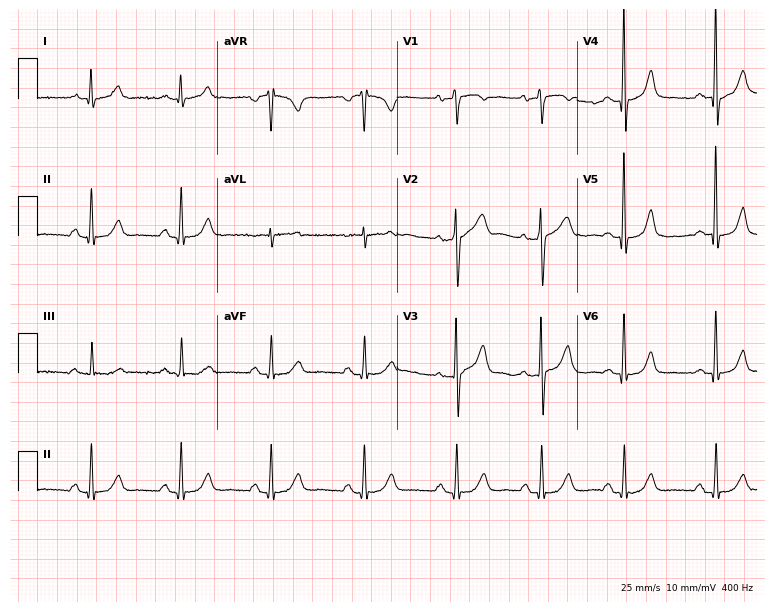
ECG (7.3-second recording at 400 Hz) — a 57-year-old man. Labelled as a normal ECG.